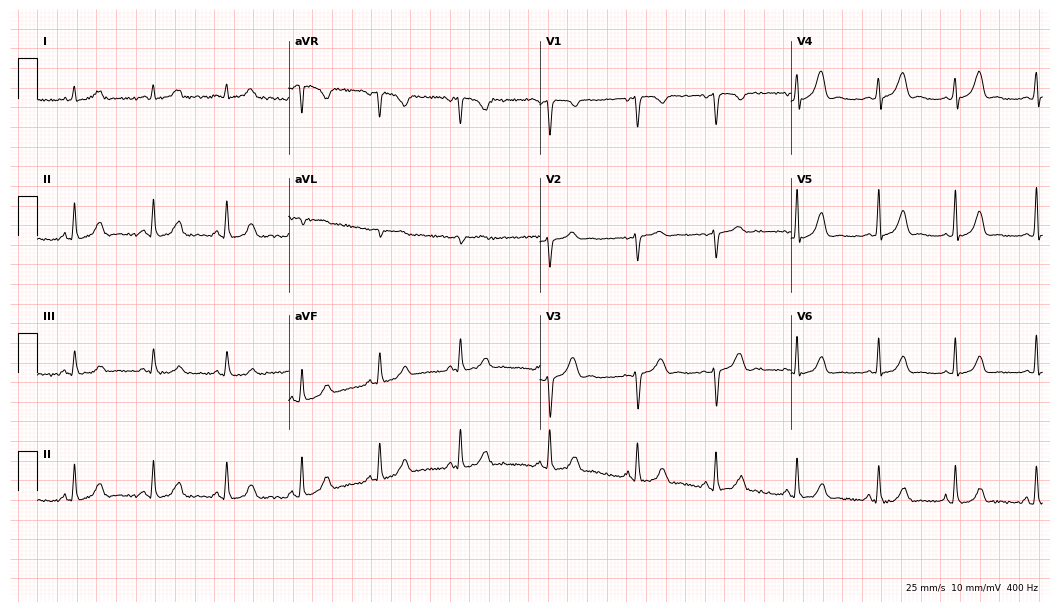
Standard 12-lead ECG recorded from a 28-year-old woman. Read as a normal ECG.